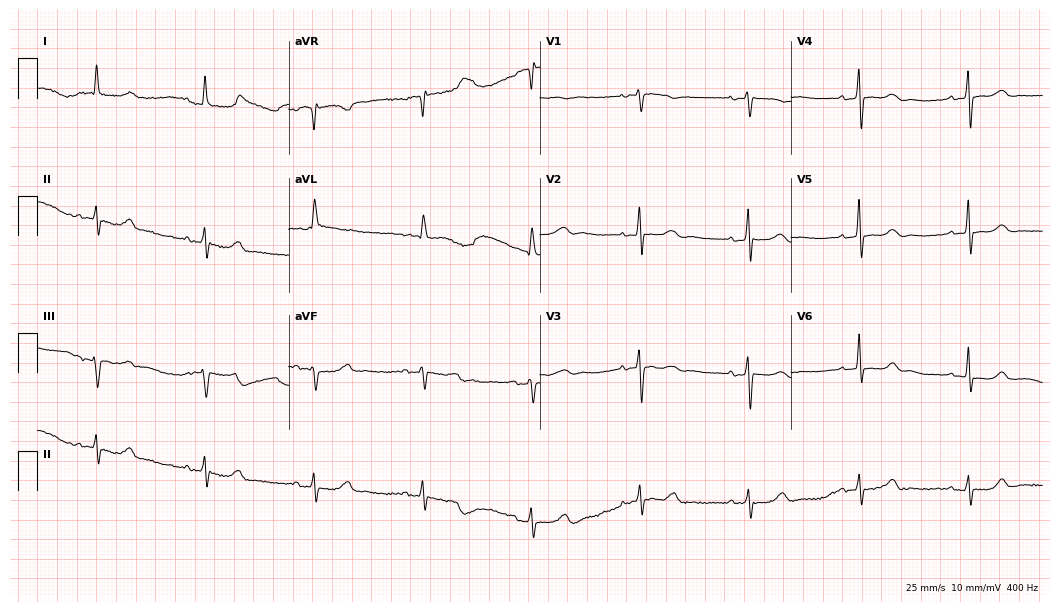
Standard 12-lead ECG recorded from an 82-year-old female. None of these six findings is recorded: first-degree AV block, right bundle branch block, left bundle branch block, sinus bradycardia, atrial fibrillation, sinus tachycardia. Findings outside these six are not listed.